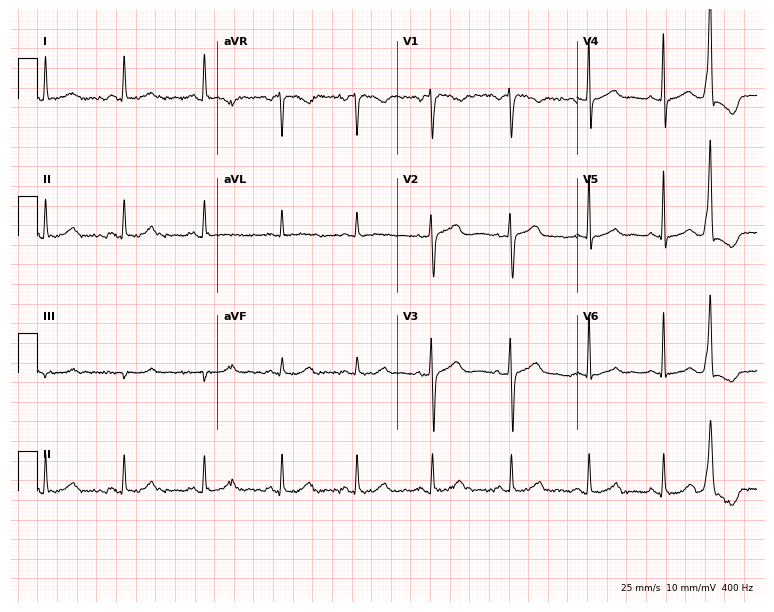
Standard 12-lead ECG recorded from a female, 46 years old. None of these six findings is recorded: first-degree AV block, right bundle branch block (RBBB), left bundle branch block (LBBB), sinus bradycardia, atrial fibrillation (AF), sinus tachycardia.